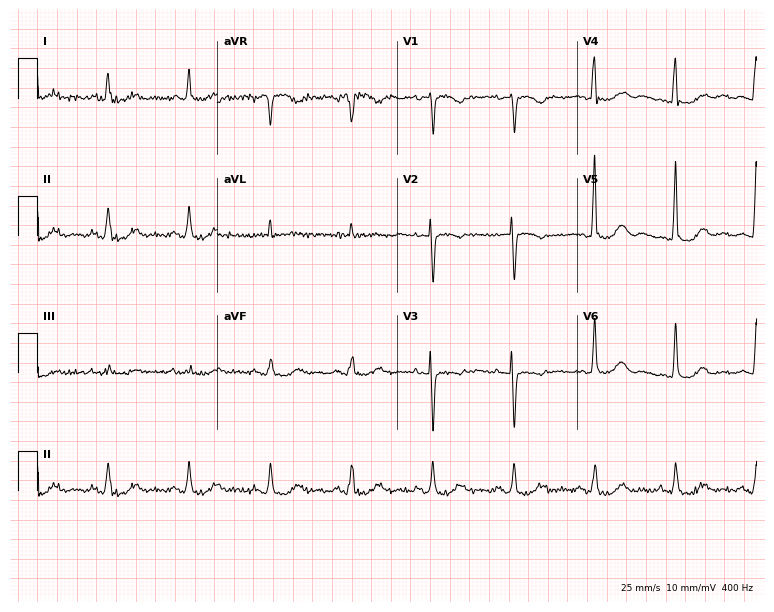
12-lead ECG from a female patient, 76 years old (7.3-second recording at 400 Hz). No first-degree AV block, right bundle branch block (RBBB), left bundle branch block (LBBB), sinus bradycardia, atrial fibrillation (AF) or sinus tachycardia recorded for this tracing. Only these six findings were labelled.